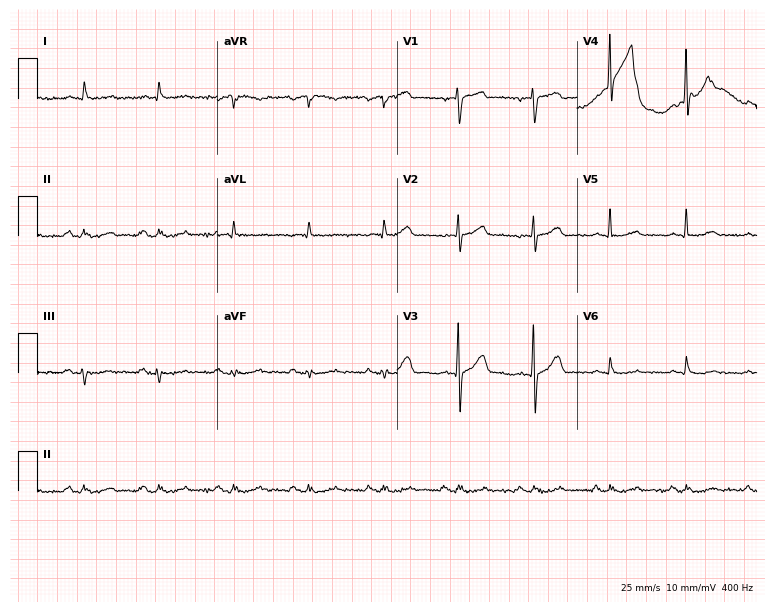
12-lead ECG from a 78-year-old male. No first-degree AV block, right bundle branch block (RBBB), left bundle branch block (LBBB), sinus bradycardia, atrial fibrillation (AF) or sinus tachycardia recorded for this tracing.